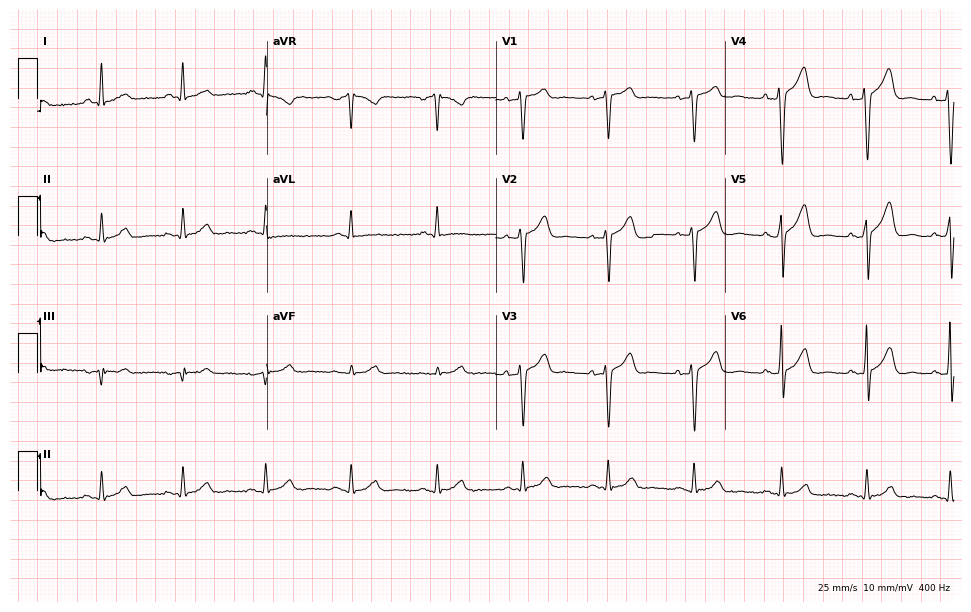
Electrocardiogram, a male, 51 years old. Overall reading on record: normal ECG.